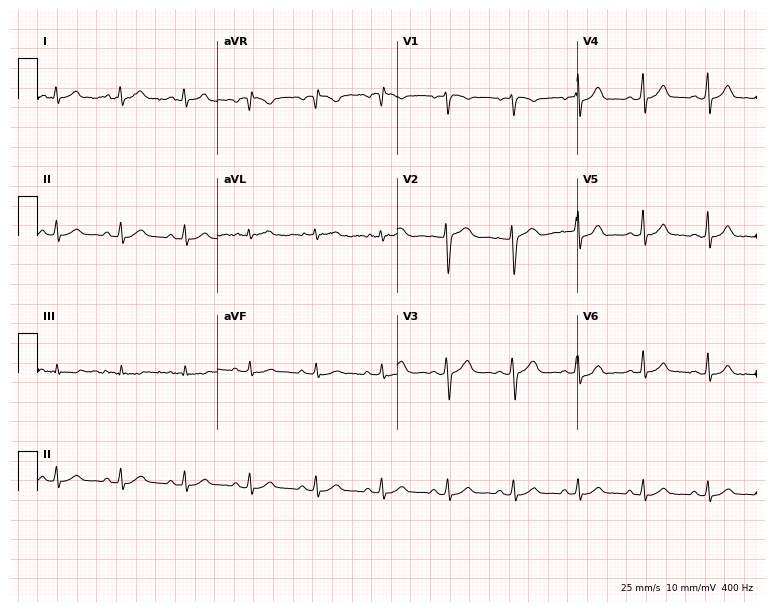
Resting 12-lead electrocardiogram (7.3-second recording at 400 Hz). Patient: a woman, 27 years old. None of these six findings is recorded: first-degree AV block, right bundle branch block (RBBB), left bundle branch block (LBBB), sinus bradycardia, atrial fibrillation (AF), sinus tachycardia. Only these six findings were labelled.